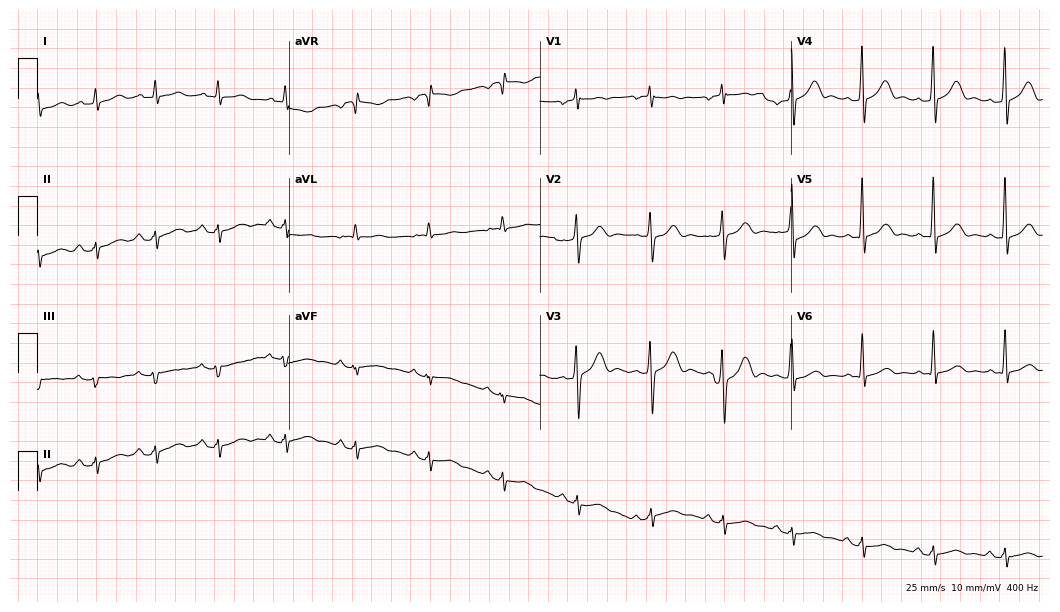
Standard 12-lead ECG recorded from a 27-year-old man. Read as a normal ECG.